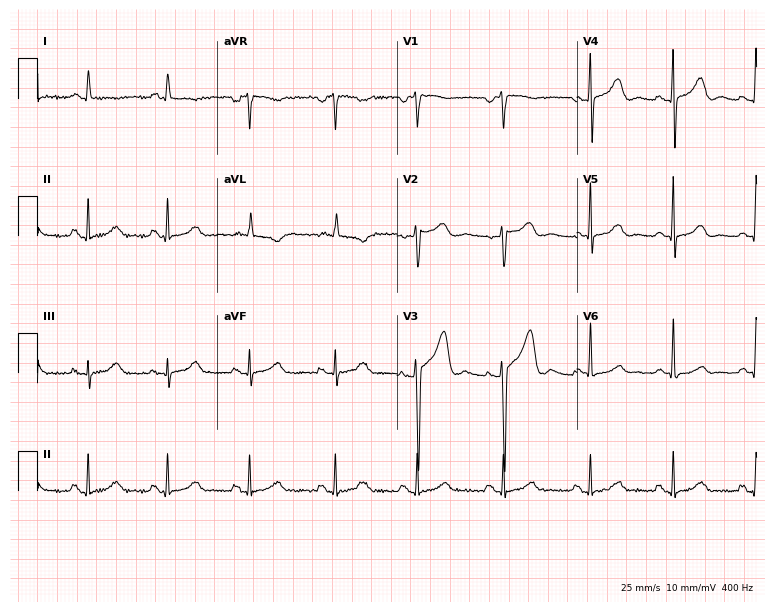
12-lead ECG (7.3-second recording at 400 Hz) from a female, 46 years old. Screened for six findings — first-degree AV block, right bundle branch block, left bundle branch block, sinus bradycardia, atrial fibrillation, sinus tachycardia — none is recorded. Only these six findings were labelled.